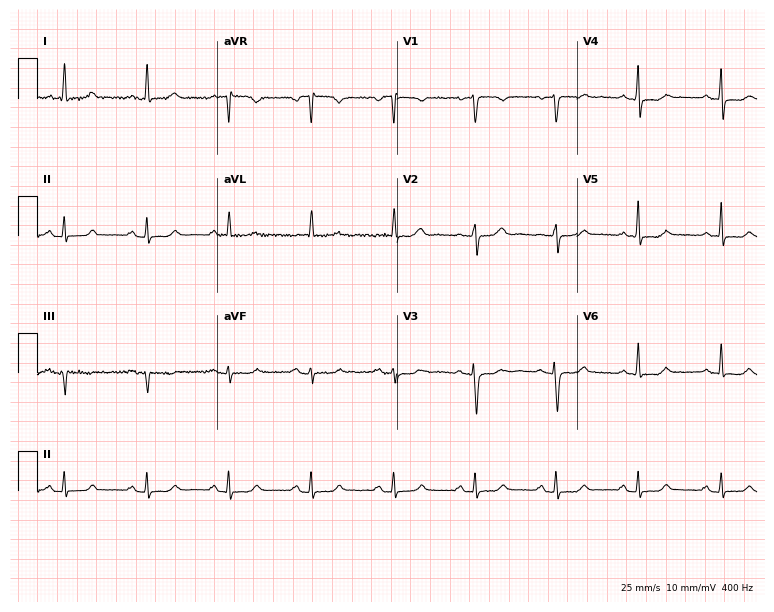
Resting 12-lead electrocardiogram (7.3-second recording at 400 Hz). Patient: a female, 65 years old. Read as a normal ECG.